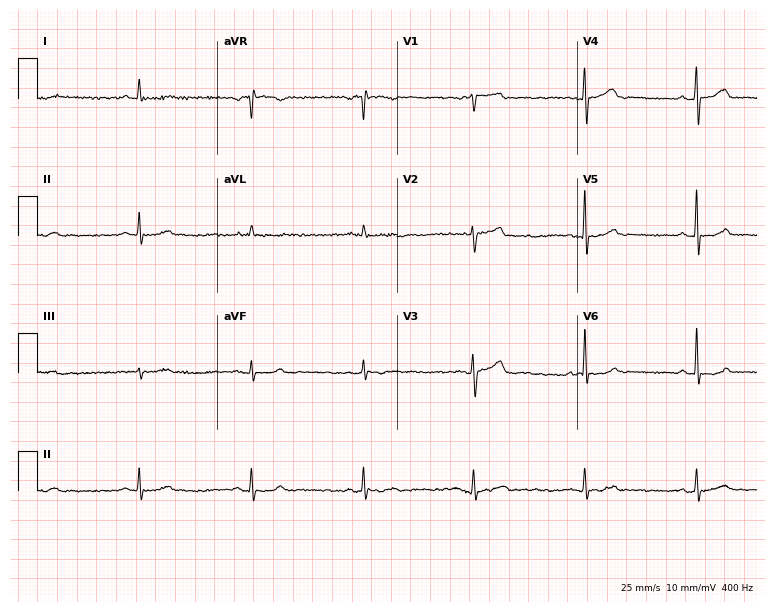
Standard 12-lead ECG recorded from an 80-year-old male patient. Read as a normal ECG.